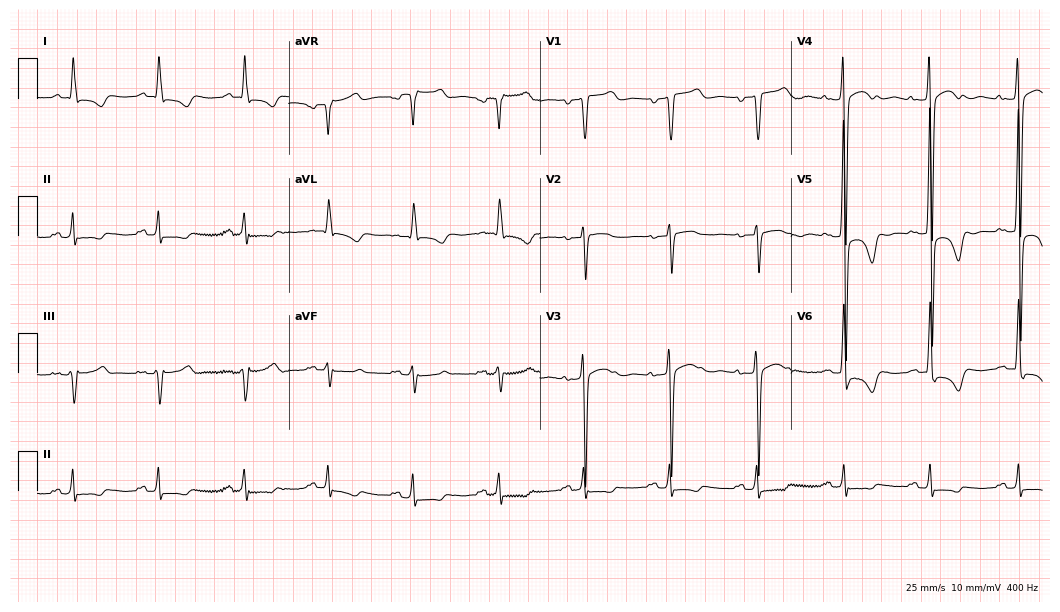
12-lead ECG from a man, 67 years old. Screened for six findings — first-degree AV block, right bundle branch block, left bundle branch block, sinus bradycardia, atrial fibrillation, sinus tachycardia — none is recorded. Only these six findings were labelled.